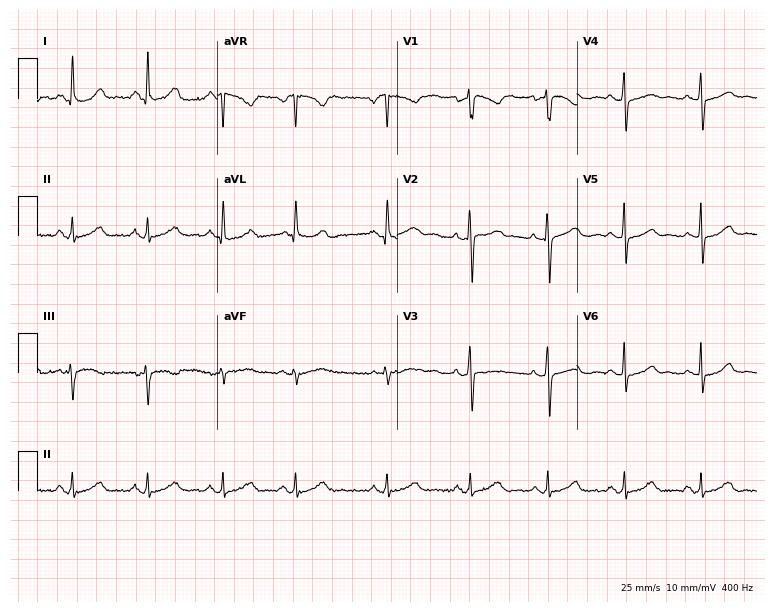
Standard 12-lead ECG recorded from a female, 33 years old (7.3-second recording at 400 Hz). None of these six findings is recorded: first-degree AV block, right bundle branch block, left bundle branch block, sinus bradycardia, atrial fibrillation, sinus tachycardia.